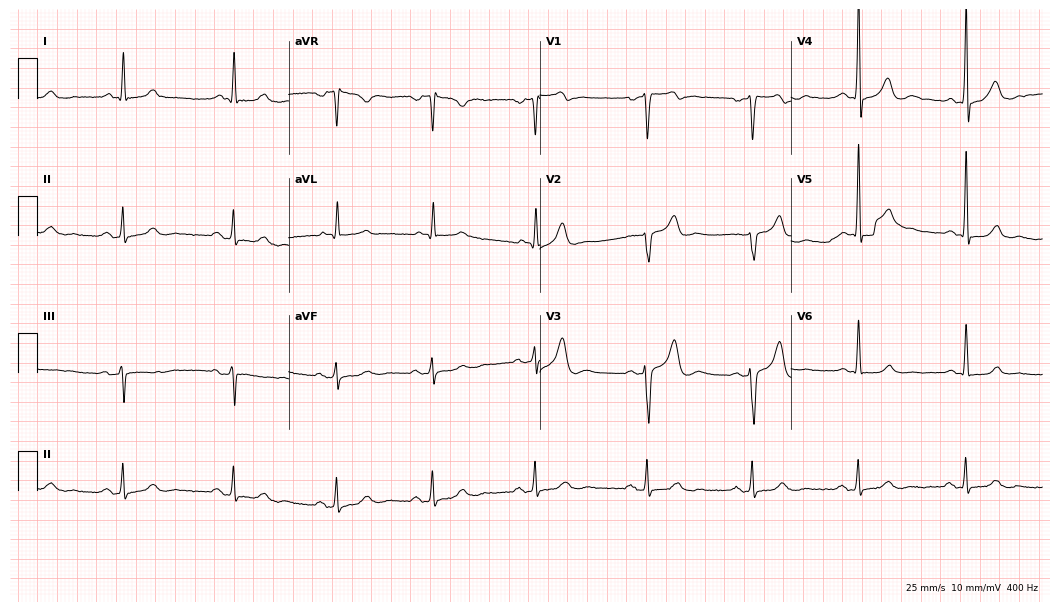
ECG — a male, 58 years old. Screened for six findings — first-degree AV block, right bundle branch block, left bundle branch block, sinus bradycardia, atrial fibrillation, sinus tachycardia — none is recorded. Findings outside these six are not listed.